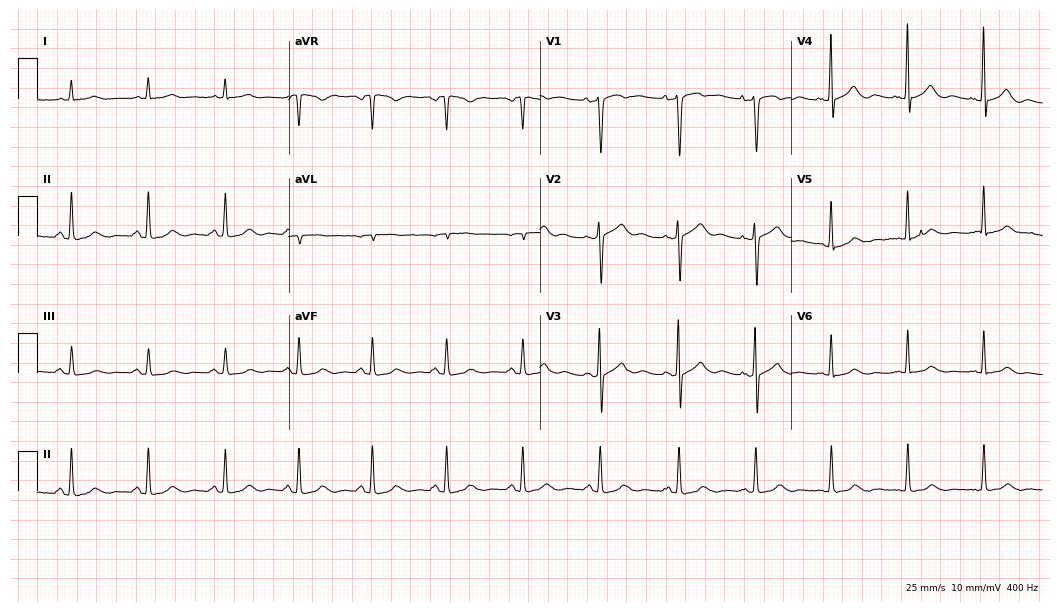
12-lead ECG from a 67-year-old woman (10.2-second recording at 400 Hz). Recorded interpretation: within normal limits.